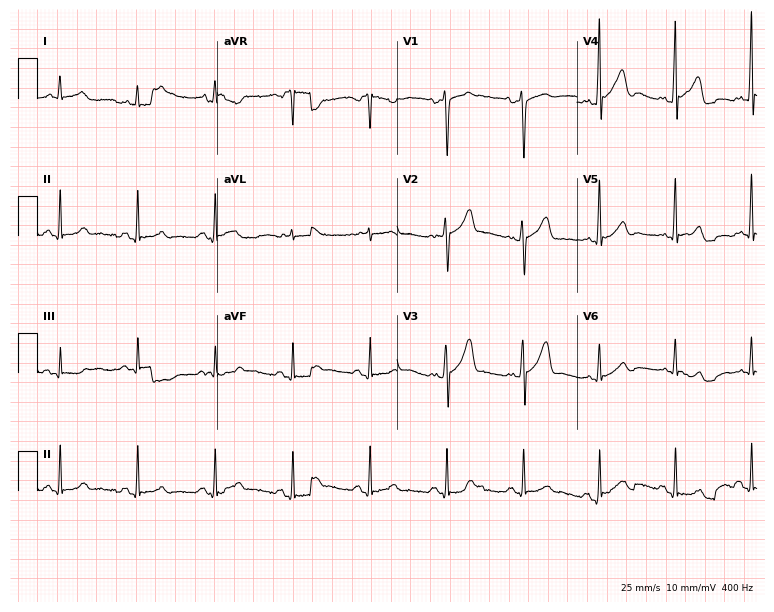
Electrocardiogram (7.3-second recording at 400 Hz), a male, 59 years old. Of the six screened findings (first-degree AV block, right bundle branch block (RBBB), left bundle branch block (LBBB), sinus bradycardia, atrial fibrillation (AF), sinus tachycardia), none is recorded.